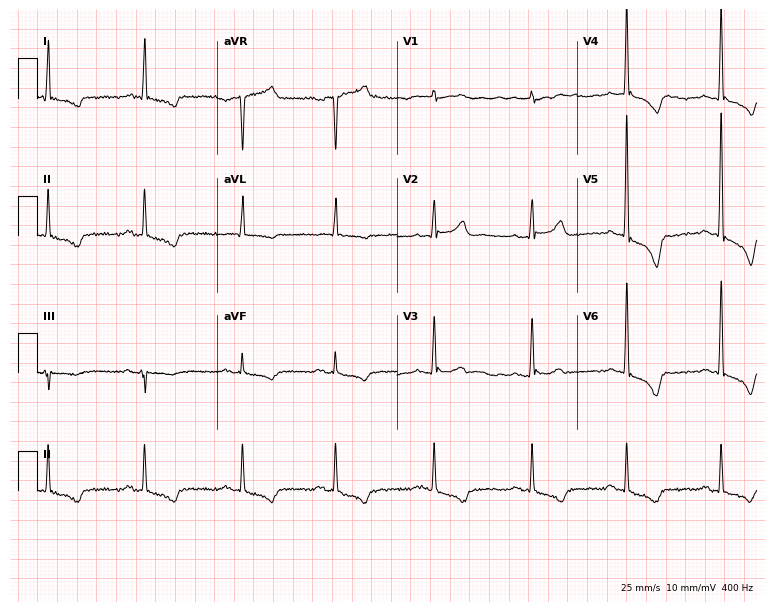
12-lead ECG from a man, 71 years old. No first-degree AV block, right bundle branch block (RBBB), left bundle branch block (LBBB), sinus bradycardia, atrial fibrillation (AF) or sinus tachycardia recorded for this tracing. Other findings, if any, are not listed.